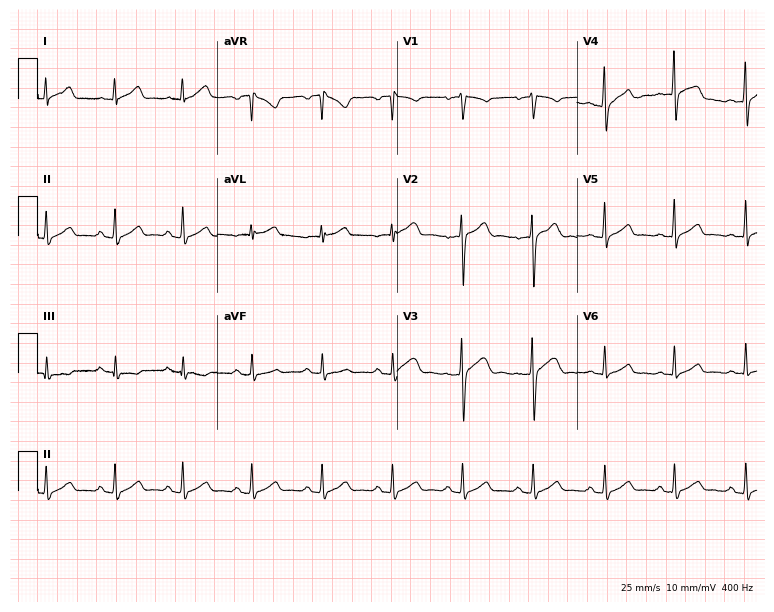
Standard 12-lead ECG recorded from a male patient, 29 years old (7.3-second recording at 400 Hz). Read as a normal ECG.